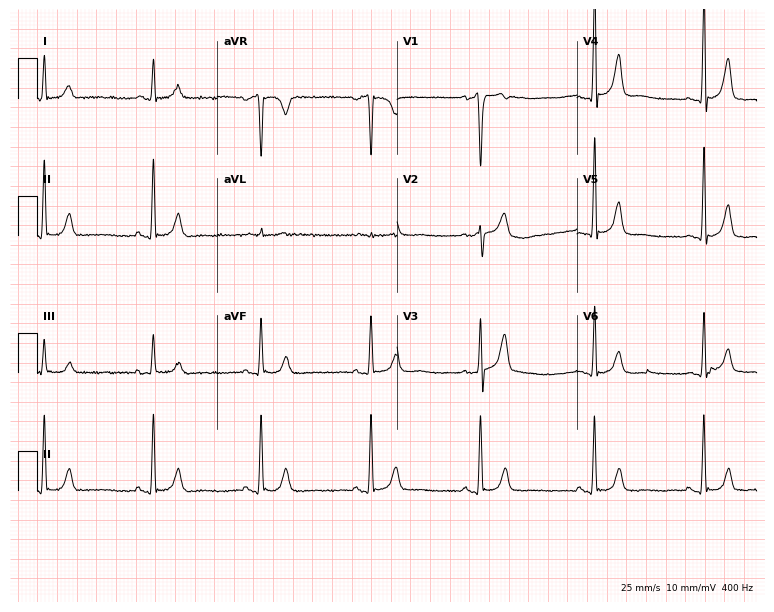
12-lead ECG from a 55-year-old male patient. No first-degree AV block, right bundle branch block, left bundle branch block, sinus bradycardia, atrial fibrillation or sinus tachycardia recorded for this tracing.